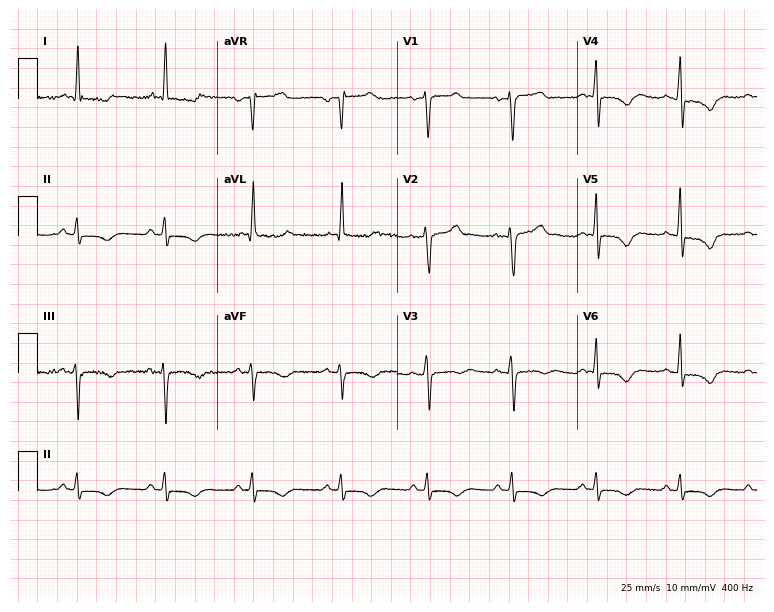
ECG — a 59-year-old male patient. Screened for six findings — first-degree AV block, right bundle branch block, left bundle branch block, sinus bradycardia, atrial fibrillation, sinus tachycardia — none is recorded. Only these six findings were labelled.